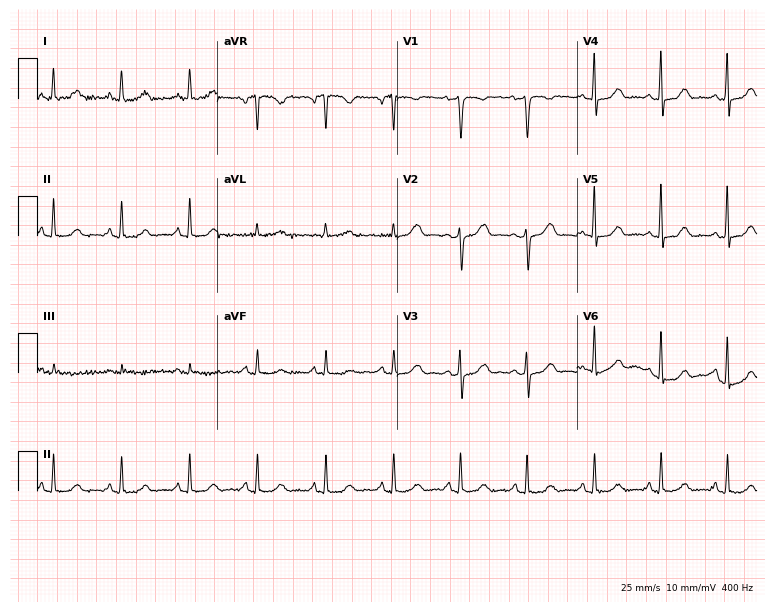
ECG (7.3-second recording at 400 Hz) — a female, 43 years old. Screened for six findings — first-degree AV block, right bundle branch block, left bundle branch block, sinus bradycardia, atrial fibrillation, sinus tachycardia — none is recorded.